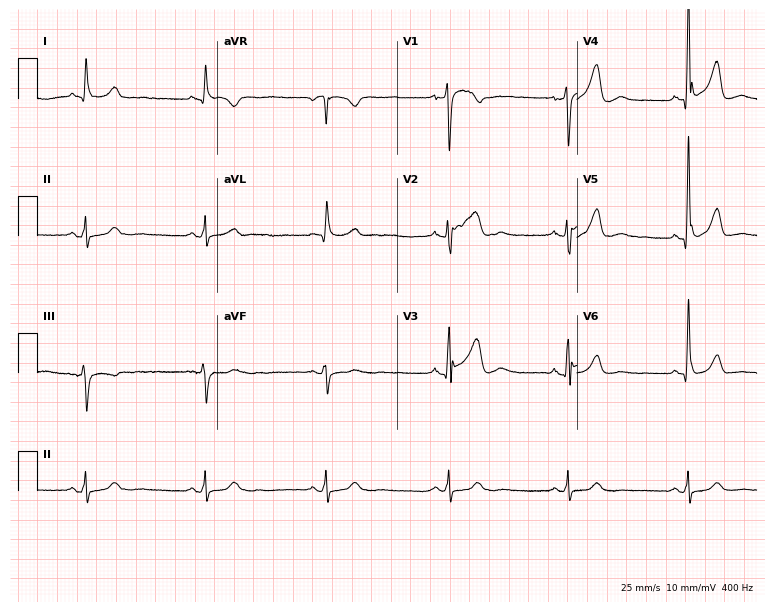
Electrocardiogram (7.3-second recording at 400 Hz), a male patient, 63 years old. Interpretation includes sinus bradycardia (a sinus rate of 50 beats per minute or less).